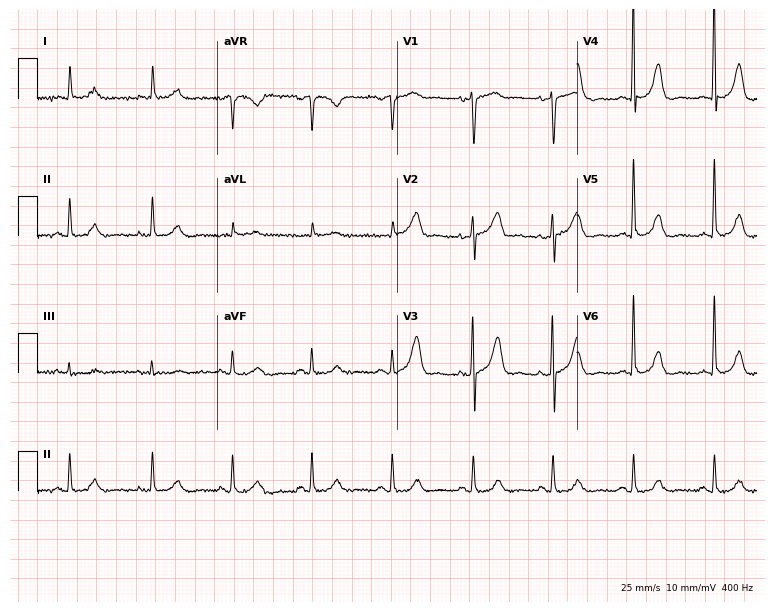
12-lead ECG from a 78-year-old woman. No first-degree AV block, right bundle branch block (RBBB), left bundle branch block (LBBB), sinus bradycardia, atrial fibrillation (AF) or sinus tachycardia recorded for this tracing.